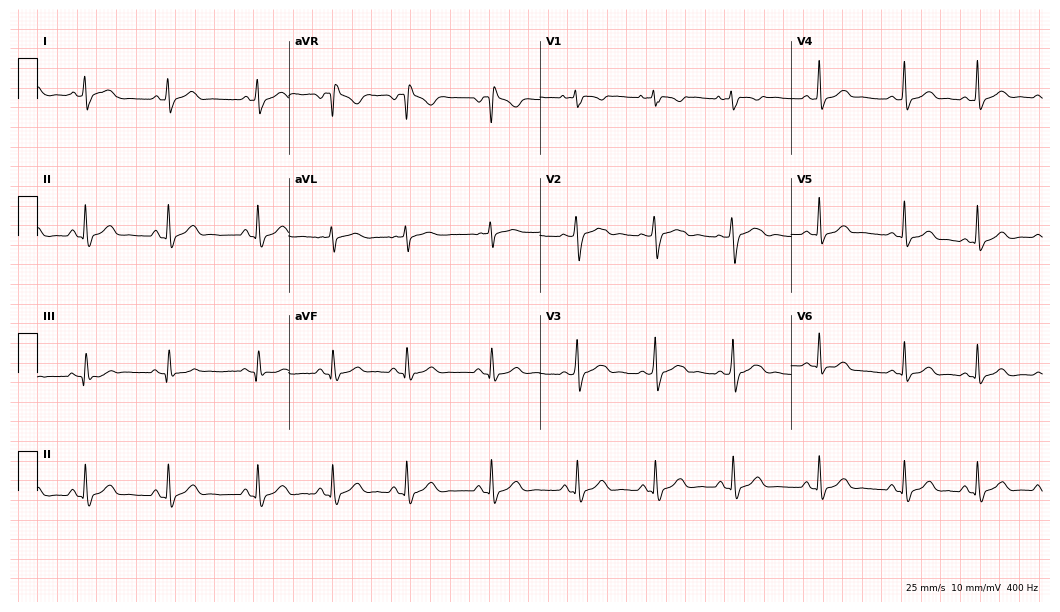
12-lead ECG from a 25-year-old female. No first-degree AV block, right bundle branch block, left bundle branch block, sinus bradycardia, atrial fibrillation or sinus tachycardia recorded for this tracing.